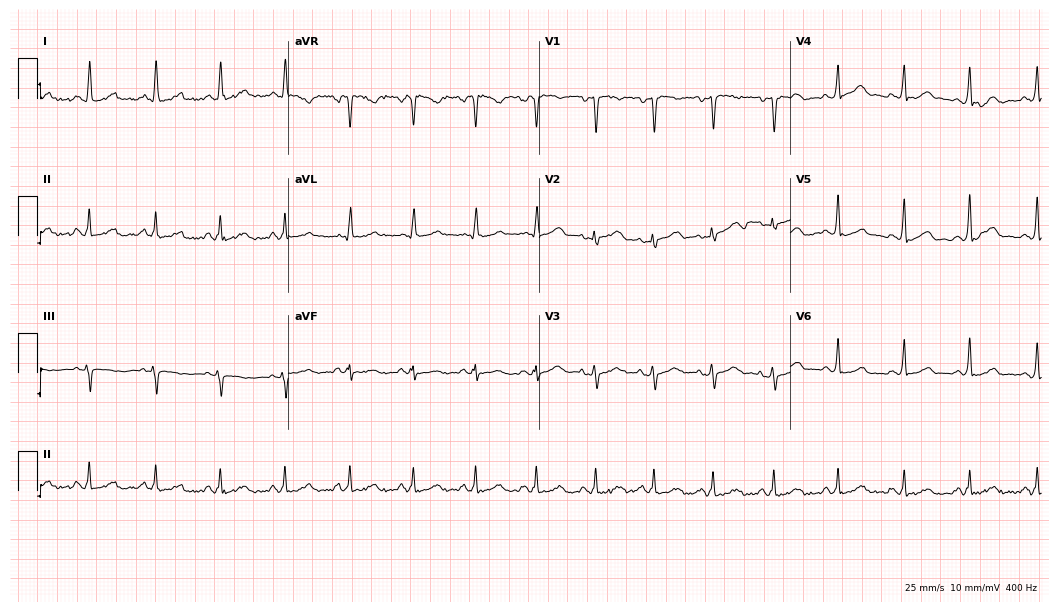
Standard 12-lead ECG recorded from a woman, 41 years old (10.2-second recording at 400 Hz). Read as a normal ECG.